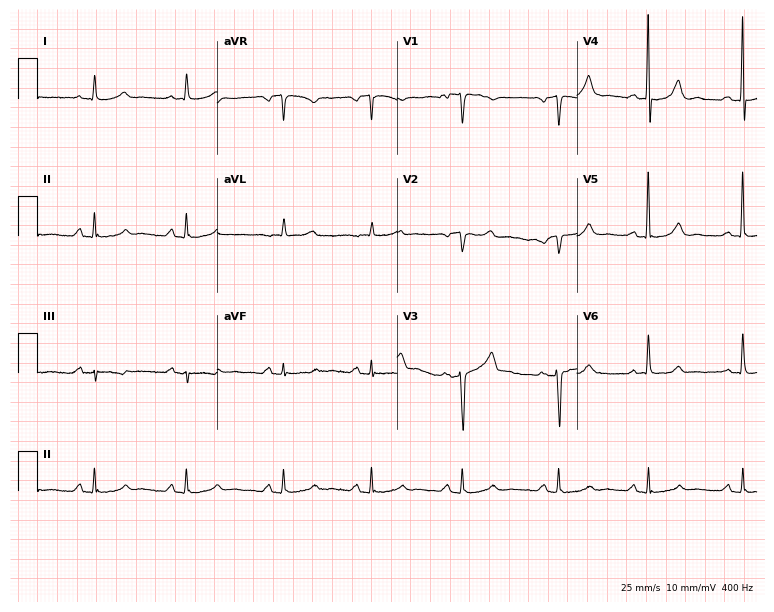
Resting 12-lead electrocardiogram. Patient: a 67-year-old woman. Read as a normal ECG.